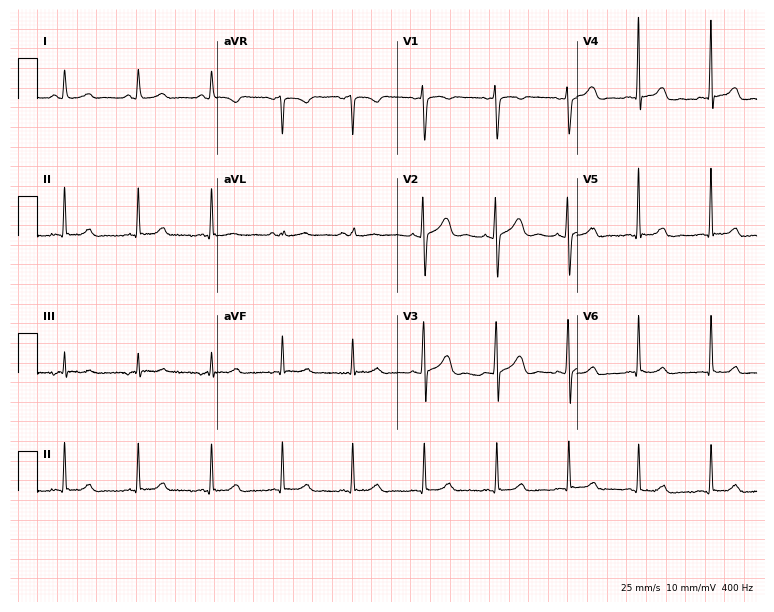
Resting 12-lead electrocardiogram. Patient: a 32-year-old female. Read as a normal ECG.